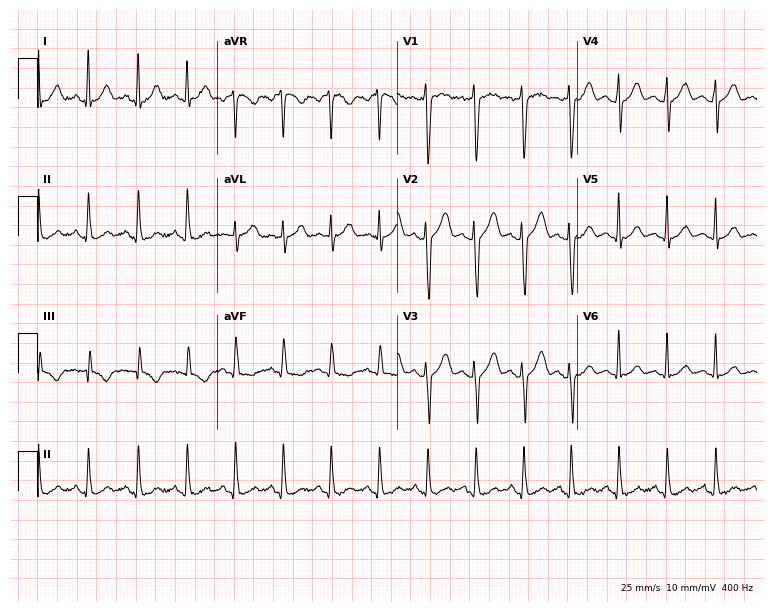
Electrocardiogram, a 24-year-old female. Interpretation includes sinus tachycardia (a sinus rate of 100 beats per minute or more).